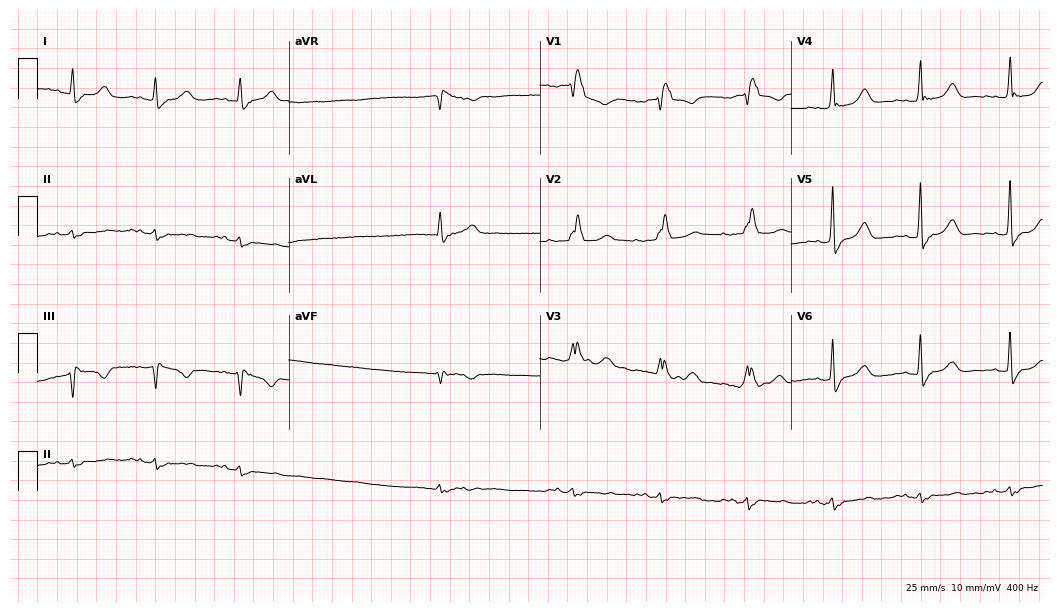
Electrocardiogram (10.2-second recording at 400 Hz), a male, 76 years old. Of the six screened findings (first-degree AV block, right bundle branch block, left bundle branch block, sinus bradycardia, atrial fibrillation, sinus tachycardia), none is recorded.